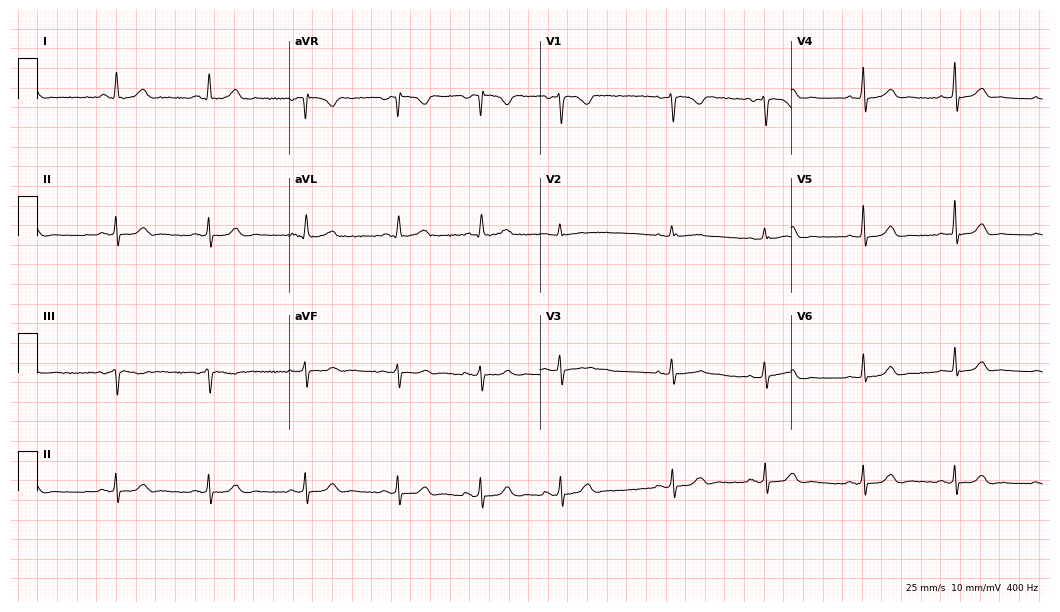
12-lead ECG from a 30-year-old female patient. Labelled as a normal ECG.